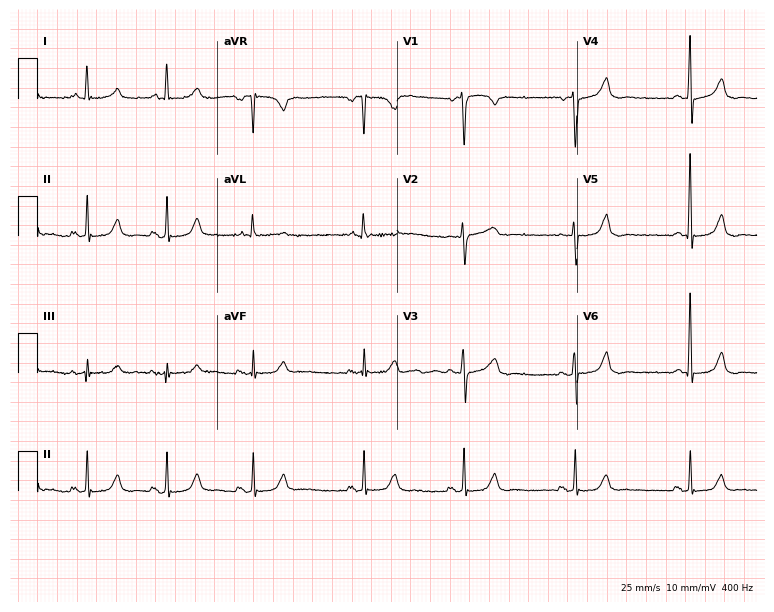
12-lead ECG from a 52-year-old female. No first-degree AV block, right bundle branch block, left bundle branch block, sinus bradycardia, atrial fibrillation or sinus tachycardia recorded for this tracing.